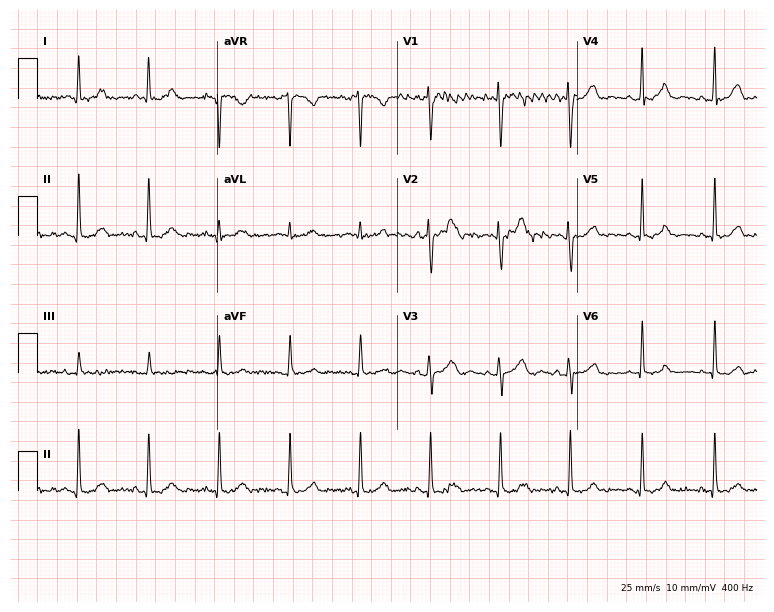
Standard 12-lead ECG recorded from a female, 30 years old (7.3-second recording at 400 Hz). Read as a normal ECG.